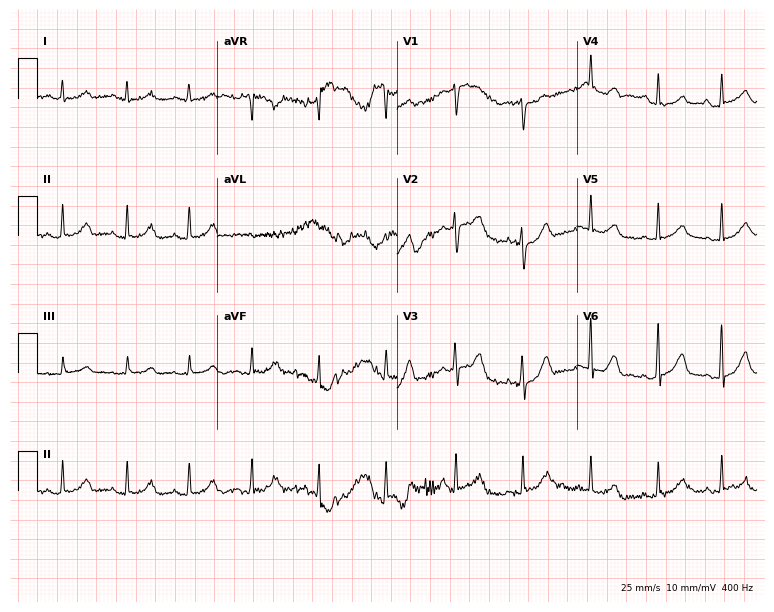
12-lead ECG (7.3-second recording at 400 Hz) from a 39-year-old female patient. Screened for six findings — first-degree AV block, right bundle branch block, left bundle branch block, sinus bradycardia, atrial fibrillation, sinus tachycardia — none is recorded. Other findings, if any, are not listed.